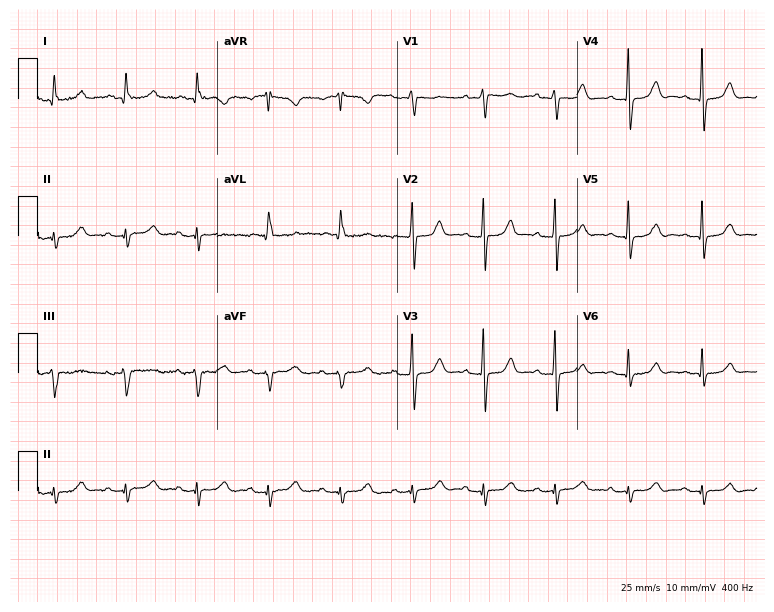
Resting 12-lead electrocardiogram. Patient: a female, 85 years old. None of these six findings is recorded: first-degree AV block, right bundle branch block, left bundle branch block, sinus bradycardia, atrial fibrillation, sinus tachycardia.